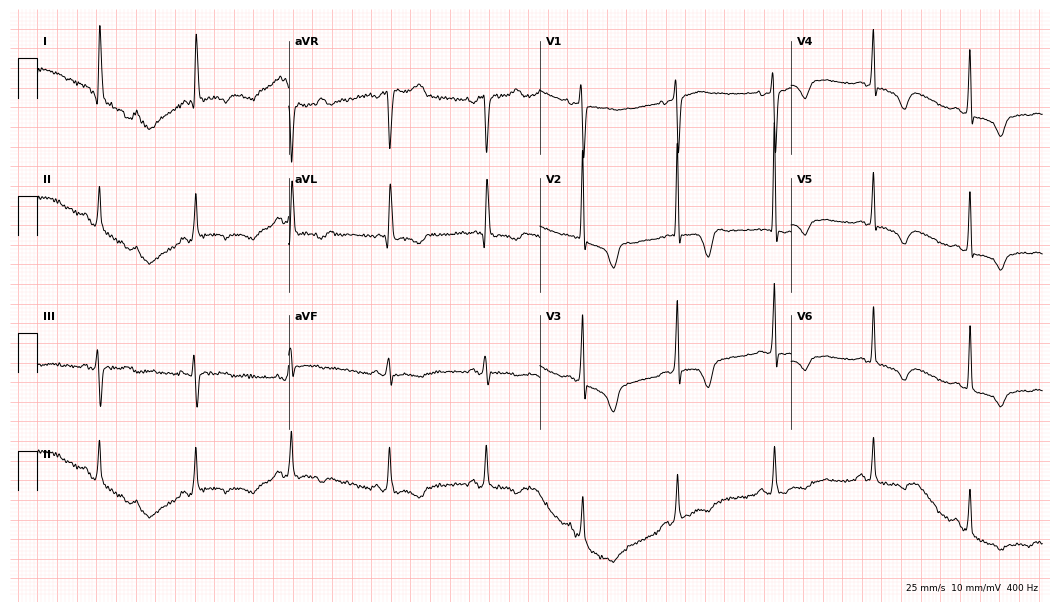
Resting 12-lead electrocardiogram. Patient: a female, 73 years old. None of these six findings is recorded: first-degree AV block, right bundle branch block, left bundle branch block, sinus bradycardia, atrial fibrillation, sinus tachycardia. Only these six findings were labelled.